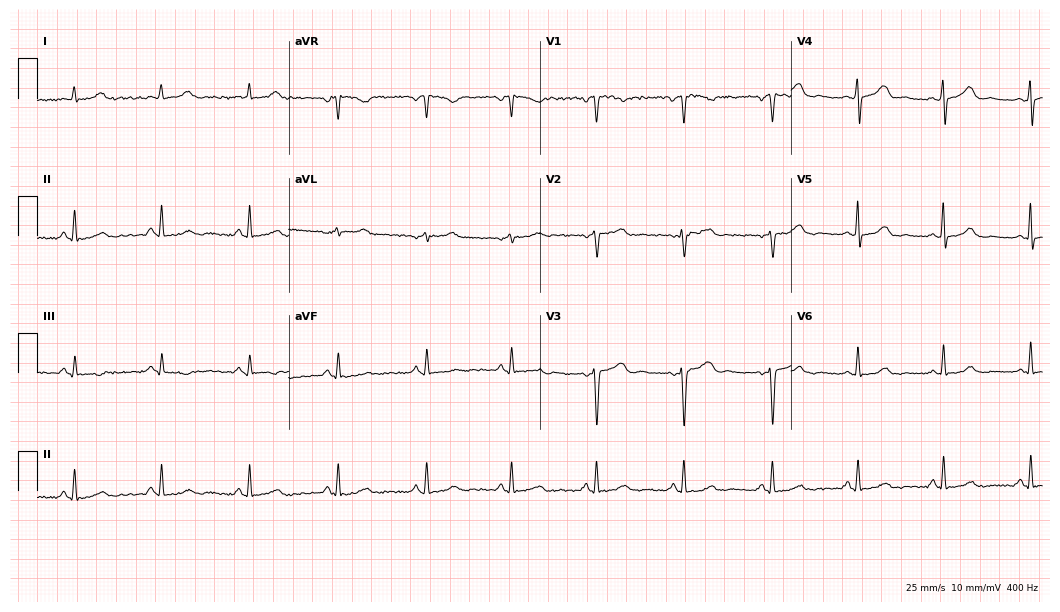
12-lead ECG from a woman, 44 years old. Labelled as a normal ECG.